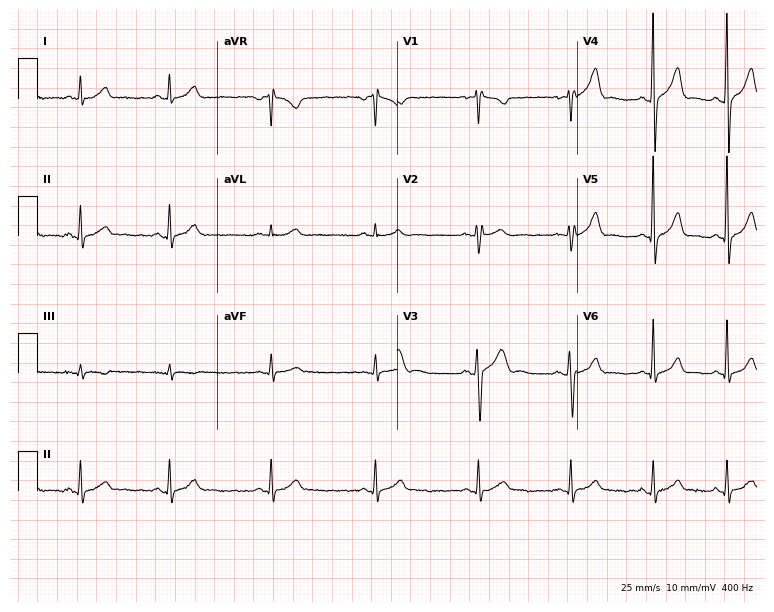
12-lead ECG from a male patient, 31 years old (7.3-second recording at 400 Hz). No first-degree AV block, right bundle branch block (RBBB), left bundle branch block (LBBB), sinus bradycardia, atrial fibrillation (AF) or sinus tachycardia recorded for this tracing.